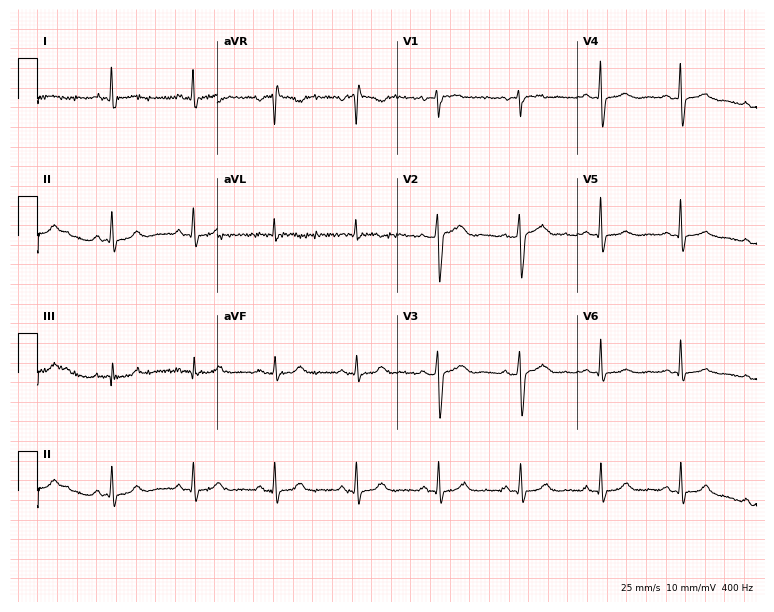
12-lead ECG from a 49-year-old woman. No first-degree AV block, right bundle branch block, left bundle branch block, sinus bradycardia, atrial fibrillation or sinus tachycardia recorded for this tracing.